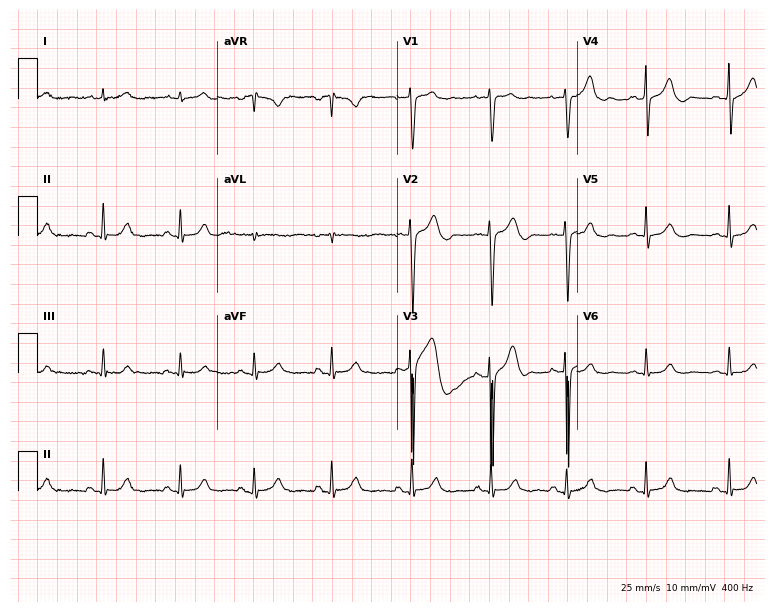
Electrocardiogram (7.3-second recording at 400 Hz), a 40-year-old male patient. Overall reading on record: normal ECG.